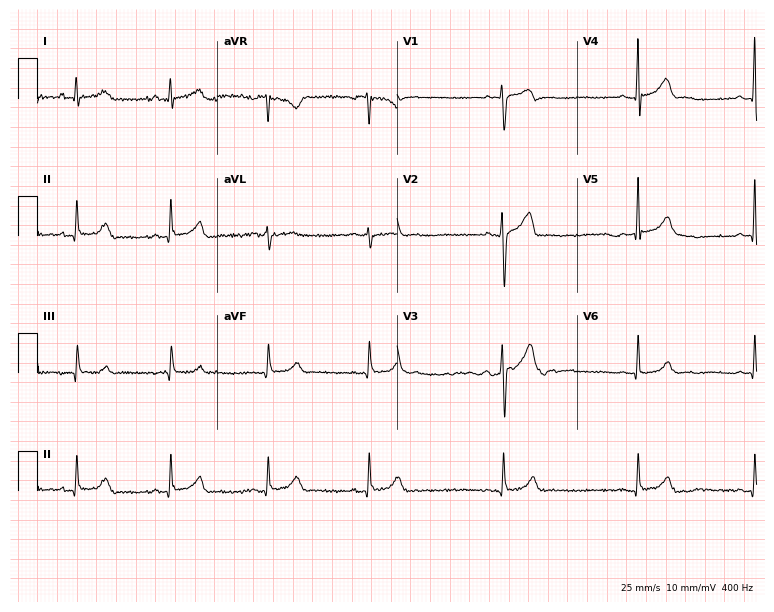
12-lead ECG from a male, 31 years old. No first-degree AV block, right bundle branch block, left bundle branch block, sinus bradycardia, atrial fibrillation or sinus tachycardia recorded for this tracing. Only these six findings were labelled.